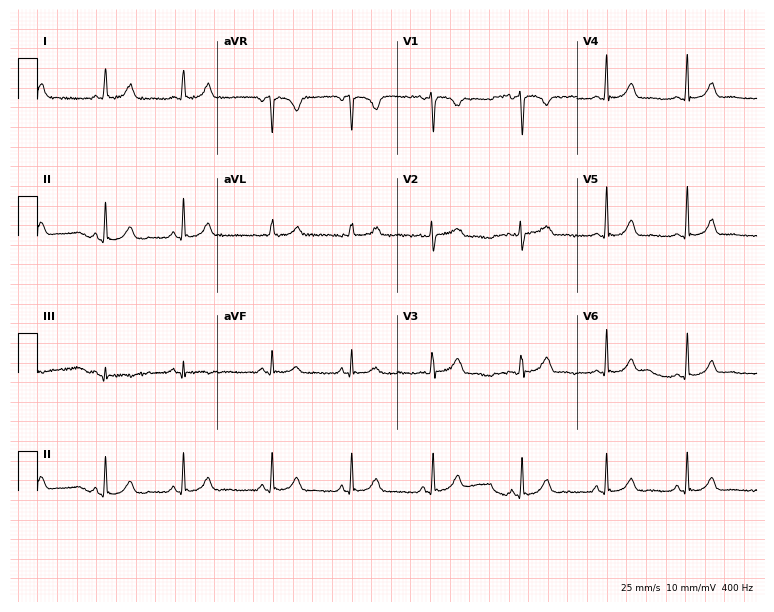
Standard 12-lead ECG recorded from a 30-year-old female patient. Read as a normal ECG.